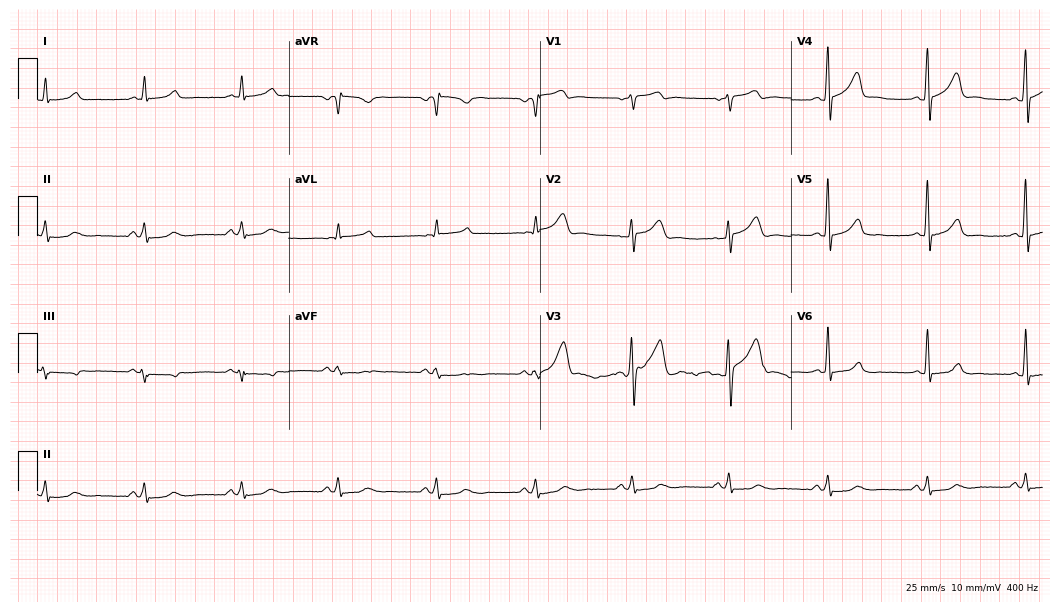
ECG — a man, 54 years old. Screened for six findings — first-degree AV block, right bundle branch block, left bundle branch block, sinus bradycardia, atrial fibrillation, sinus tachycardia — none is recorded.